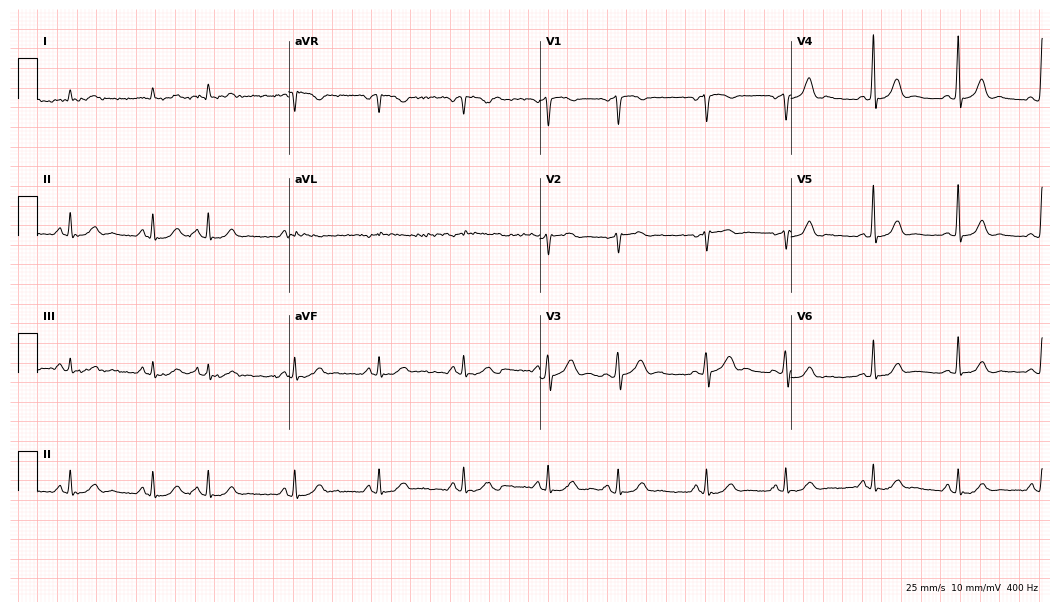
Standard 12-lead ECG recorded from a female patient, 57 years old. None of these six findings is recorded: first-degree AV block, right bundle branch block, left bundle branch block, sinus bradycardia, atrial fibrillation, sinus tachycardia. Findings outside these six are not listed.